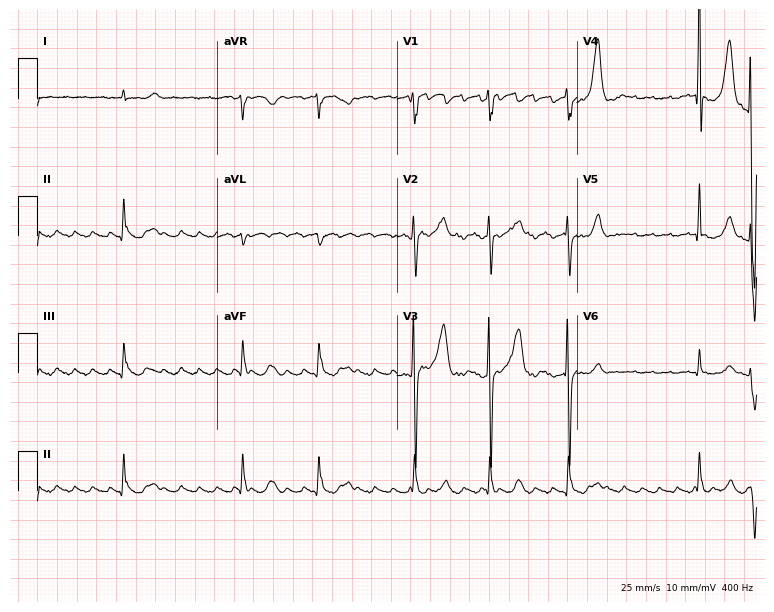
Resting 12-lead electrocardiogram (7.3-second recording at 400 Hz). Patient: an 80-year-old man. The tracing shows atrial fibrillation (AF).